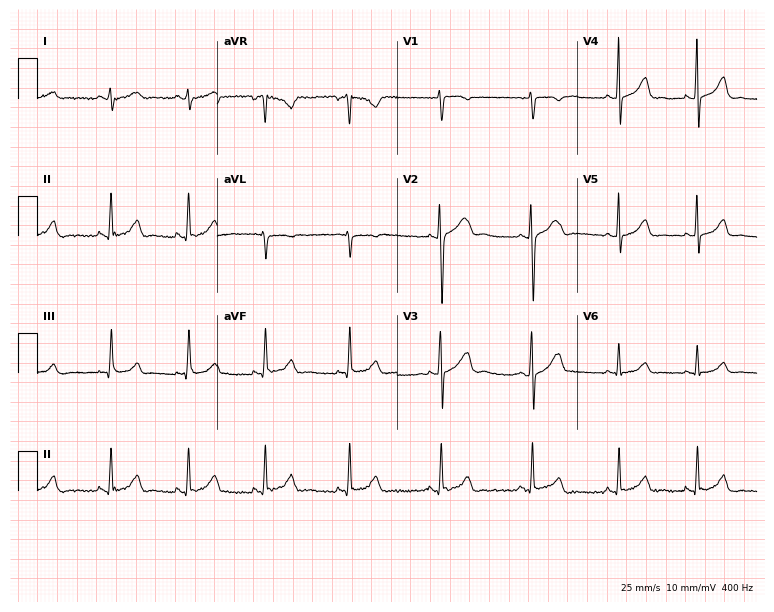
12-lead ECG (7.3-second recording at 400 Hz) from a female patient, 19 years old. Labelled as a normal ECG.